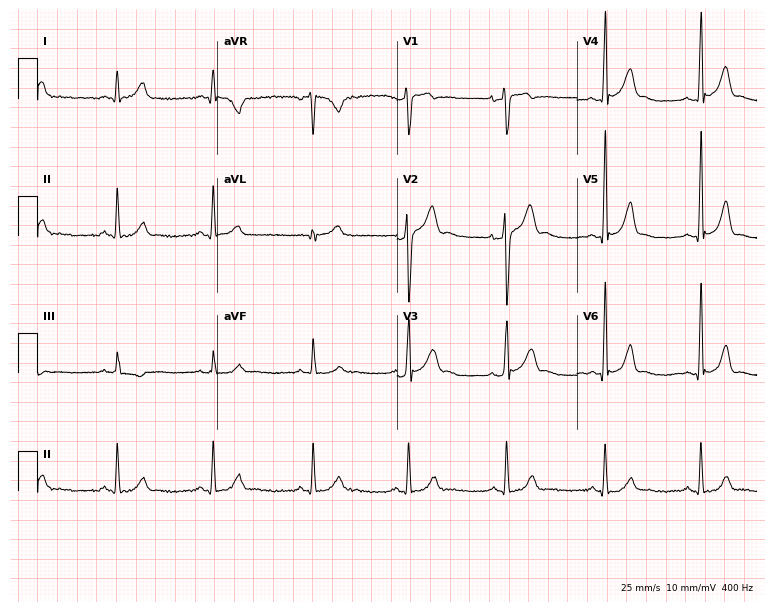
12-lead ECG from a 28-year-old male. Recorded interpretation: within normal limits.